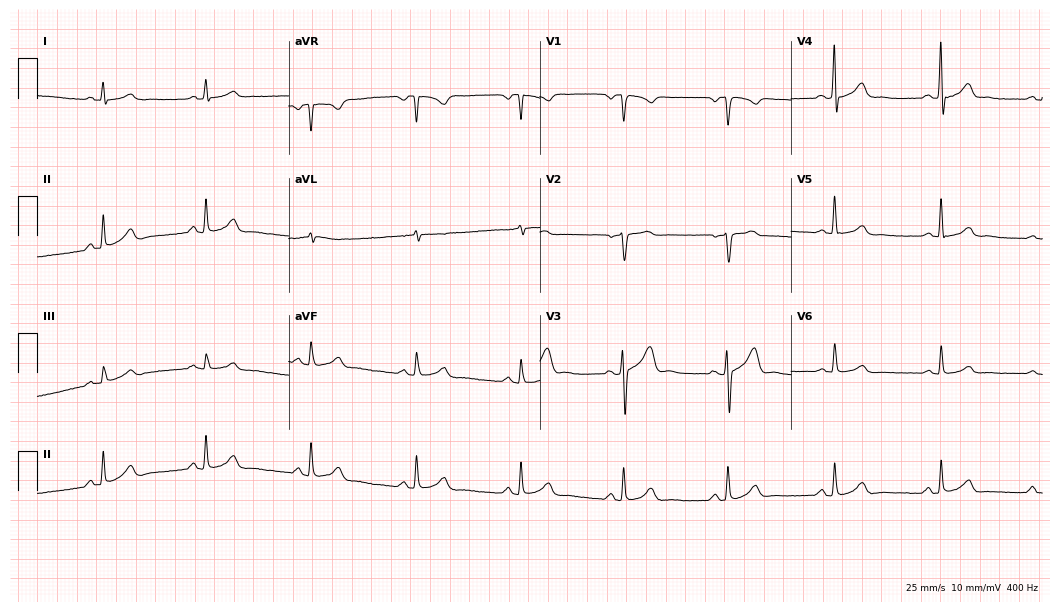
Electrocardiogram, a man, 44 years old. Of the six screened findings (first-degree AV block, right bundle branch block (RBBB), left bundle branch block (LBBB), sinus bradycardia, atrial fibrillation (AF), sinus tachycardia), none is recorded.